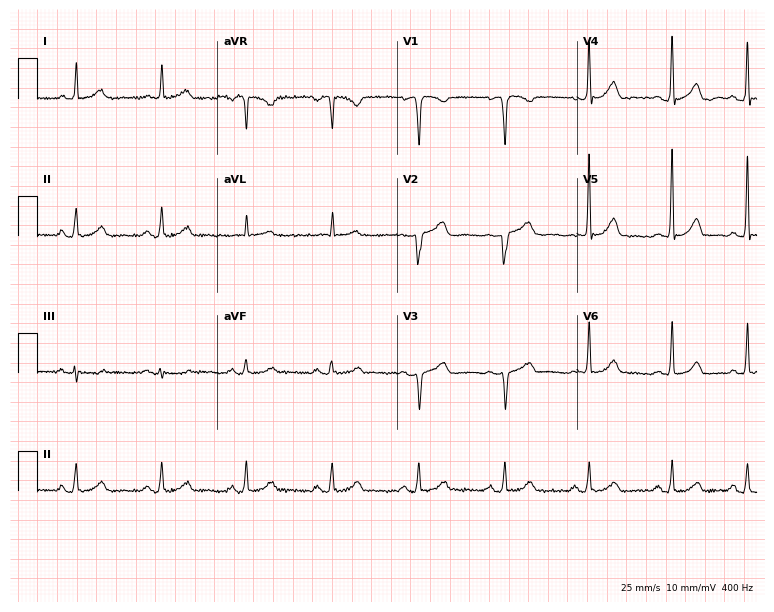
Resting 12-lead electrocardiogram (7.3-second recording at 400 Hz). Patient: a female, 46 years old. Read as a normal ECG.